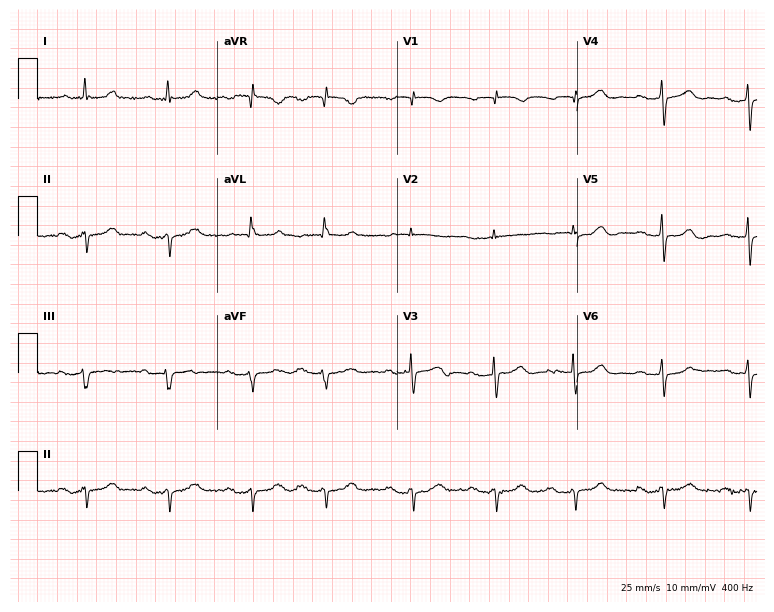
ECG — an 84-year-old woman. Findings include first-degree AV block.